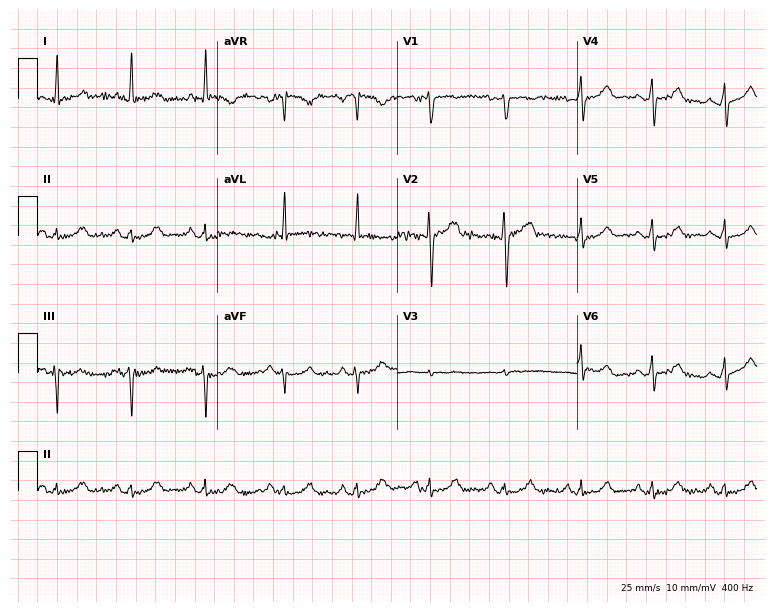
12-lead ECG (7.3-second recording at 400 Hz) from a female, 71 years old. Labelled as a normal ECG.